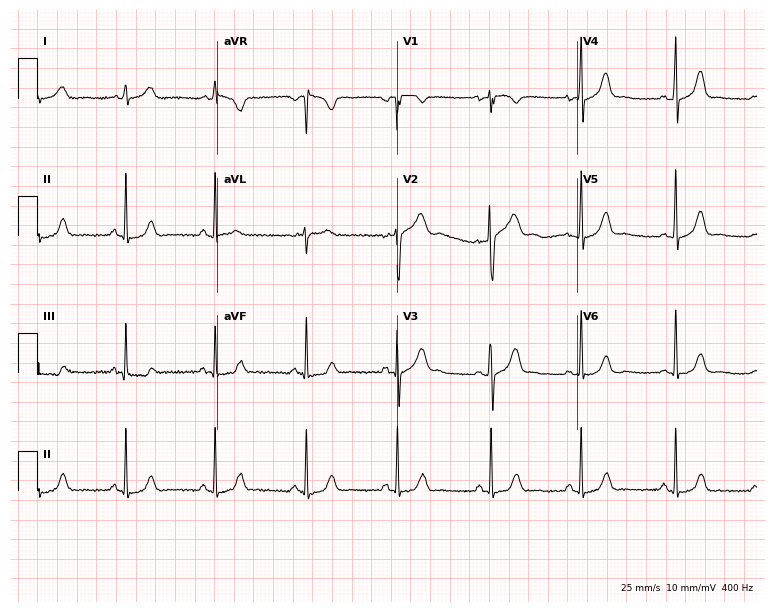
12-lead ECG from a 23-year-old female (7.3-second recording at 400 Hz). Recorded interpretation: within normal limits.